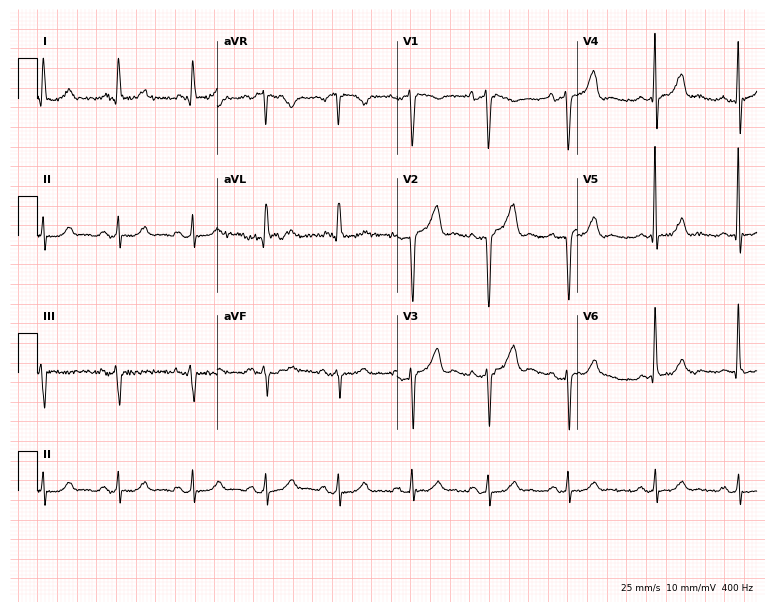
Electrocardiogram (7.3-second recording at 400 Hz), a male patient, 55 years old. Of the six screened findings (first-degree AV block, right bundle branch block (RBBB), left bundle branch block (LBBB), sinus bradycardia, atrial fibrillation (AF), sinus tachycardia), none is recorded.